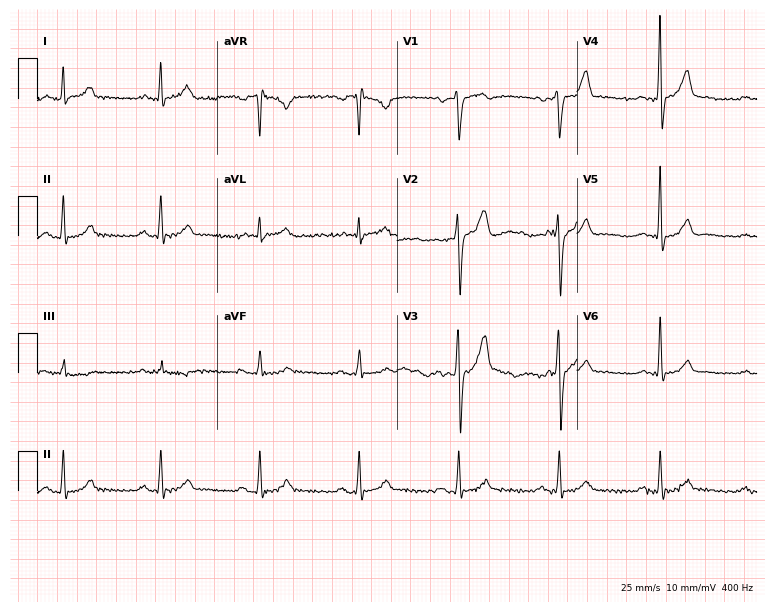
Resting 12-lead electrocardiogram (7.3-second recording at 400 Hz). Patient: a male, 63 years old. Read as a normal ECG.